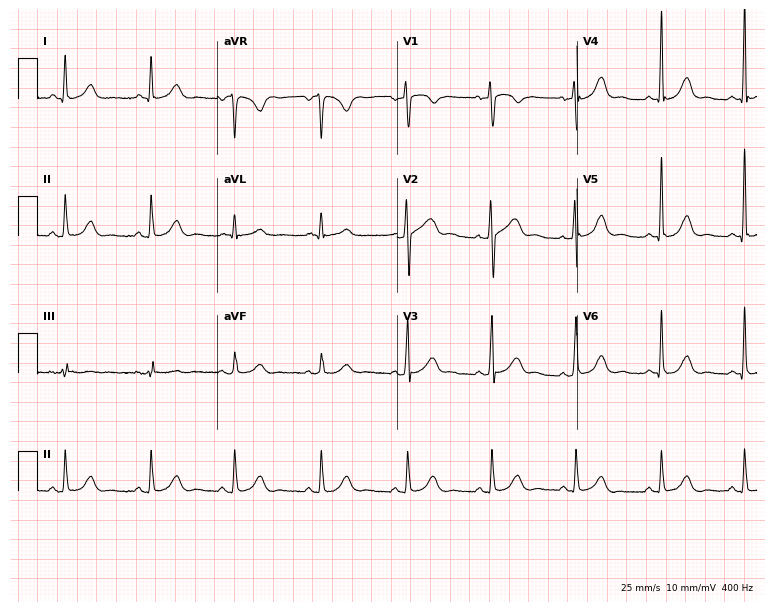
Electrocardiogram (7.3-second recording at 400 Hz), a woman, 57 years old. Of the six screened findings (first-degree AV block, right bundle branch block (RBBB), left bundle branch block (LBBB), sinus bradycardia, atrial fibrillation (AF), sinus tachycardia), none is recorded. Findings outside these six are not listed.